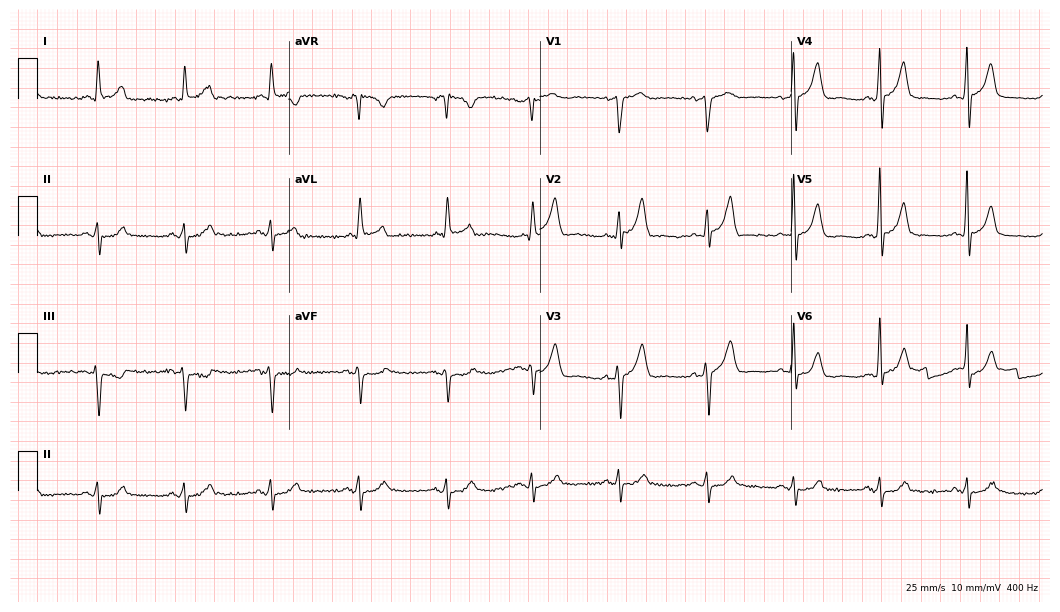
Standard 12-lead ECG recorded from a male, 56 years old (10.2-second recording at 400 Hz). None of these six findings is recorded: first-degree AV block, right bundle branch block (RBBB), left bundle branch block (LBBB), sinus bradycardia, atrial fibrillation (AF), sinus tachycardia.